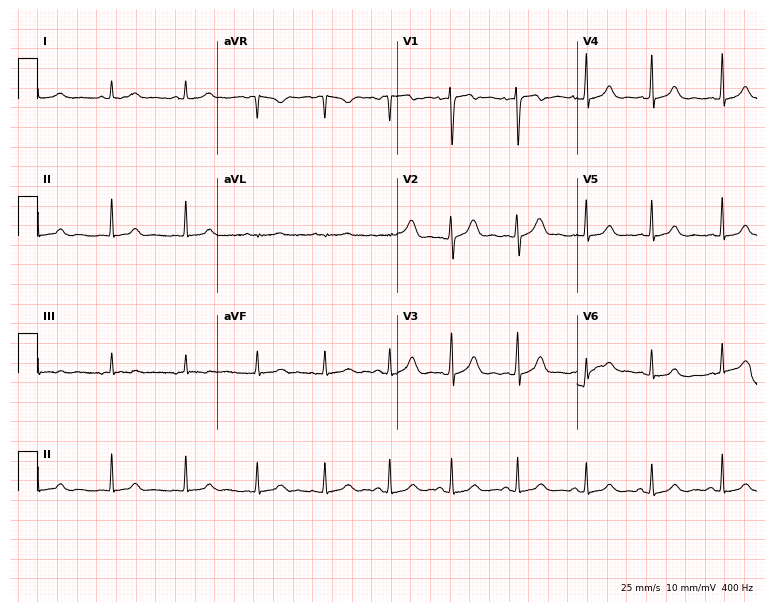
12-lead ECG from a 24-year-old female patient. Labelled as a normal ECG.